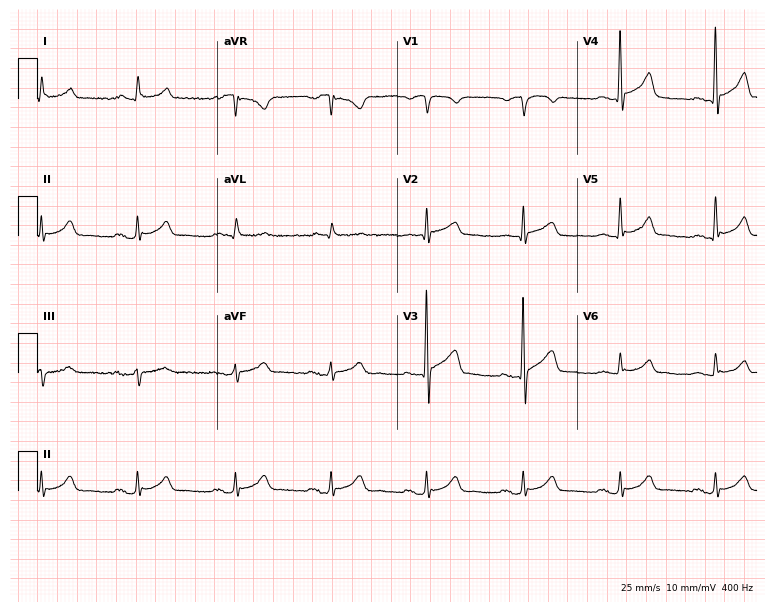
ECG (7.3-second recording at 400 Hz) — a 57-year-old female patient. Screened for six findings — first-degree AV block, right bundle branch block, left bundle branch block, sinus bradycardia, atrial fibrillation, sinus tachycardia — none is recorded.